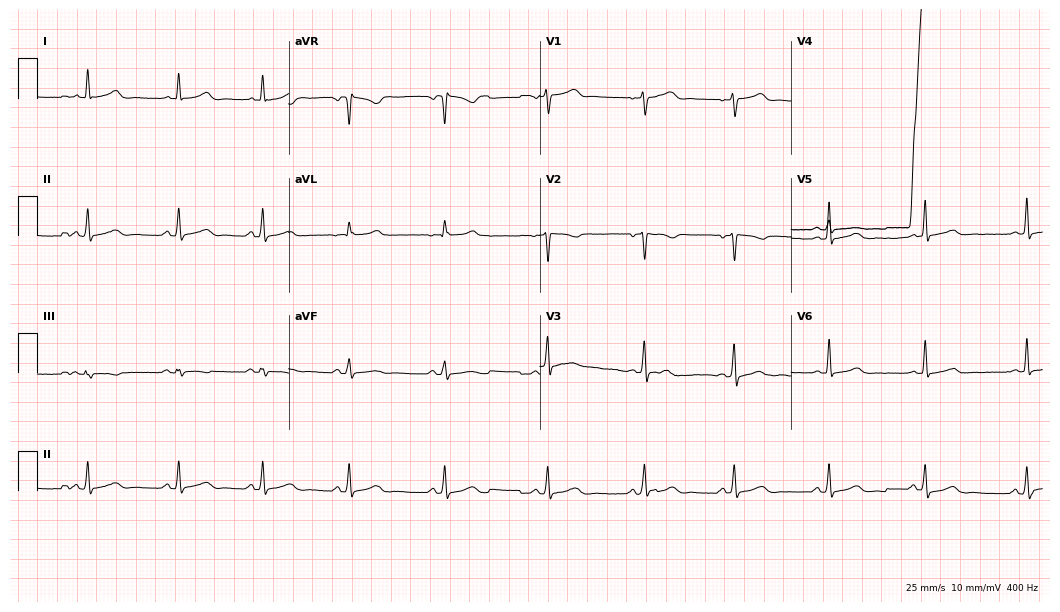
Standard 12-lead ECG recorded from a woman, 41 years old (10.2-second recording at 400 Hz). None of these six findings is recorded: first-degree AV block, right bundle branch block (RBBB), left bundle branch block (LBBB), sinus bradycardia, atrial fibrillation (AF), sinus tachycardia. Only these six findings were labelled.